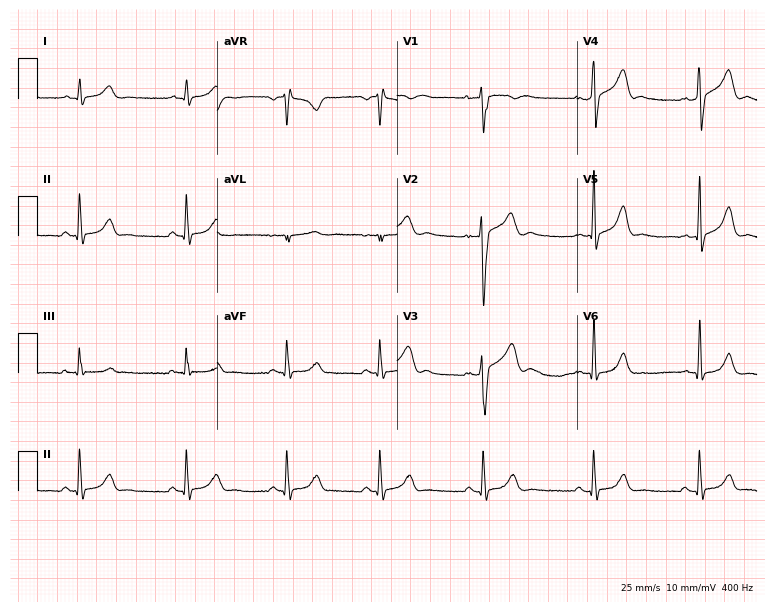
Resting 12-lead electrocardiogram. Patient: a male, 27 years old. Read as a normal ECG.